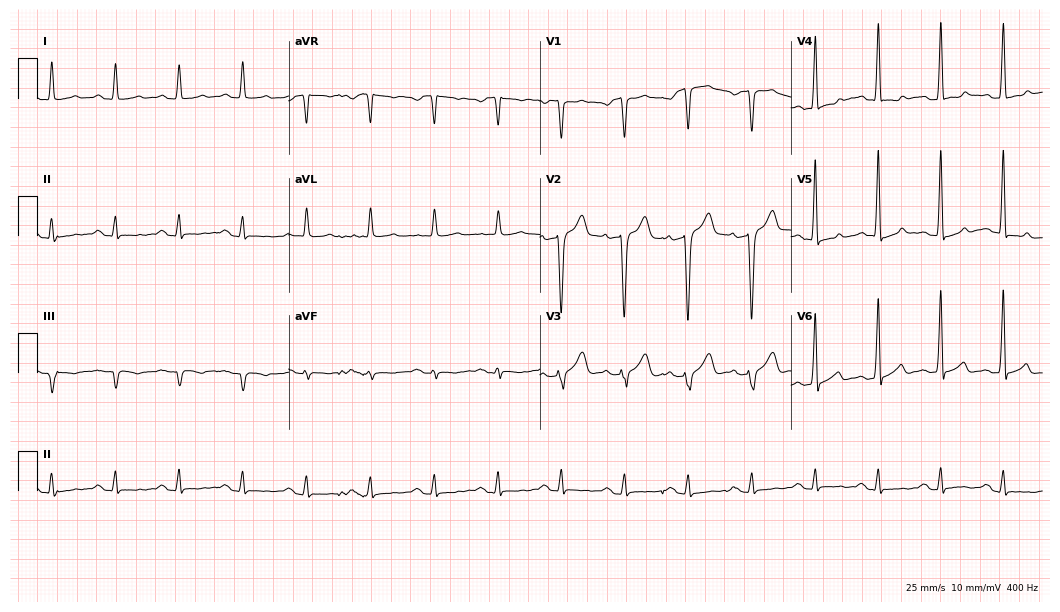
12-lead ECG from a male, 54 years old (10.2-second recording at 400 Hz). No first-degree AV block, right bundle branch block (RBBB), left bundle branch block (LBBB), sinus bradycardia, atrial fibrillation (AF) or sinus tachycardia recorded for this tracing. Other findings, if any, are not listed.